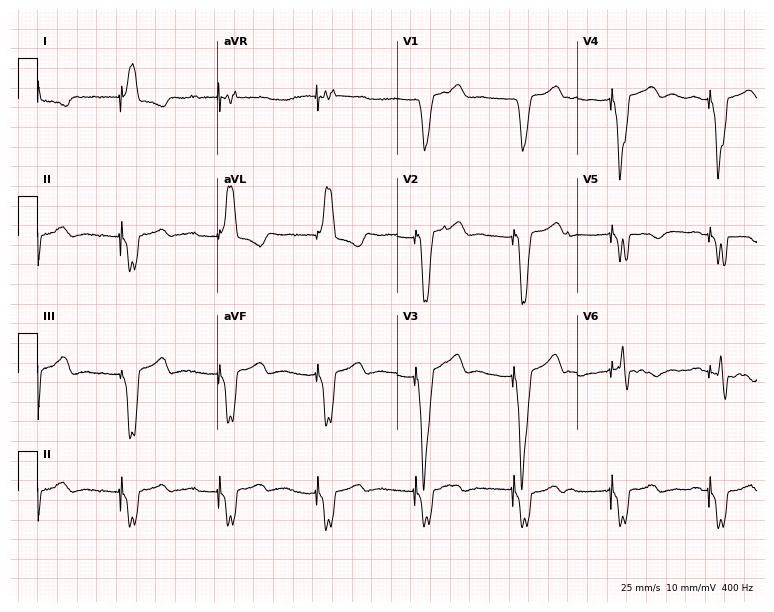
Standard 12-lead ECG recorded from a 57-year-old female (7.3-second recording at 400 Hz). None of these six findings is recorded: first-degree AV block, right bundle branch block, left bundle branch block, sinus bradycardia, atrial fibrillation, sinus tachycardia. Only these six findings were labelled.